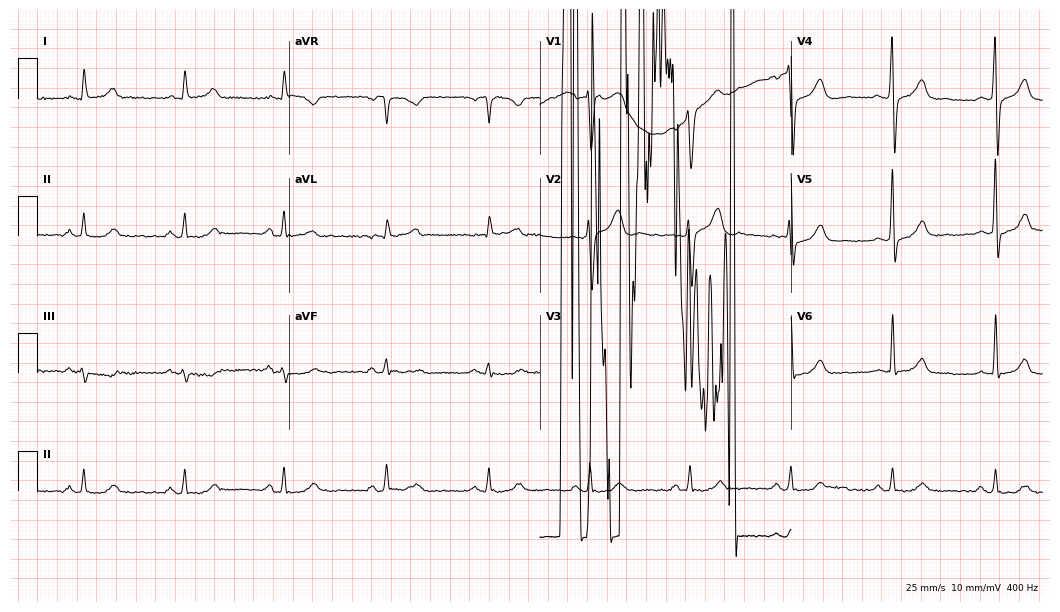
Standard 12-lead ECG recorded from a 54-year-old male patient (10.2-second recording at 400 Hz). None of these six findings is recorded: first-degree AV block, right bundle branch block, left bundle branch block, sinus bradycardia, atrial fibrillation, sinus tachycardia. Only these six findings were labelled.